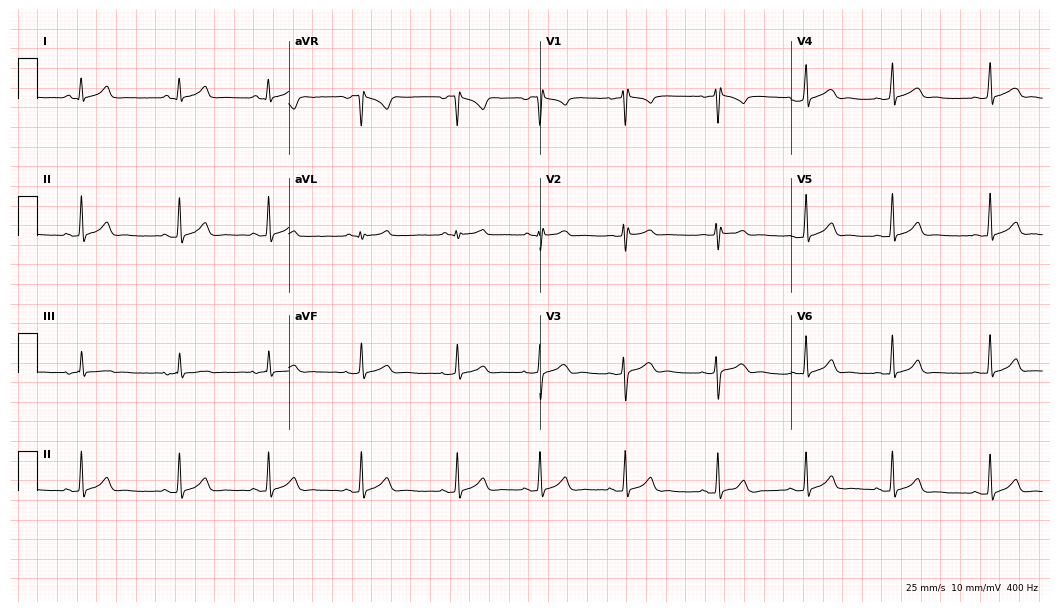
12-lead ECG (10.2-second recording at 400 Hz) from a female, 22 years old. Labelled as a normal ECG.